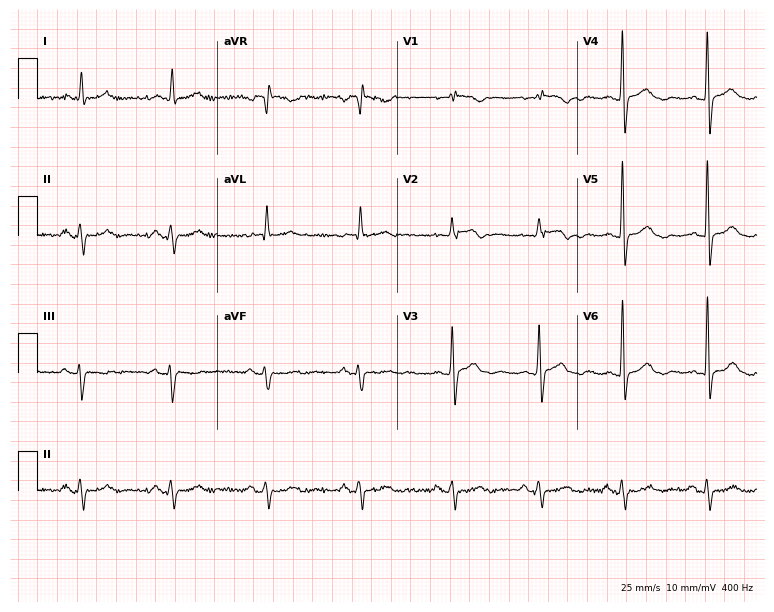
Standard 12-lead ECG recorded from a 64-year-old female patient. None of these six findings is recorded: first-degree AV block, right bundle branch block, left bundle branch block, sinus bradycardia, atrial fibrillation, sinus tachycardia. Findings outside these six are not listed.